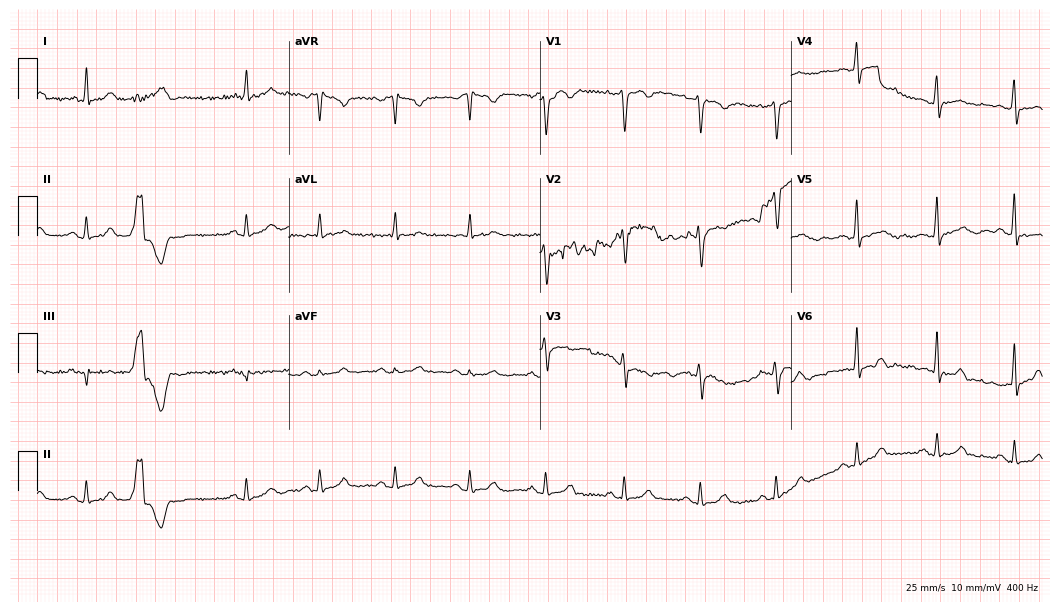
12-lead ECG from a female patient, 32 years old. Screened for six findings — first-degree AV block, right bundle branch block, left bundle branch block, sinus bradycardia, atrial fibrillation, sinus tachycardia — none is recorded.